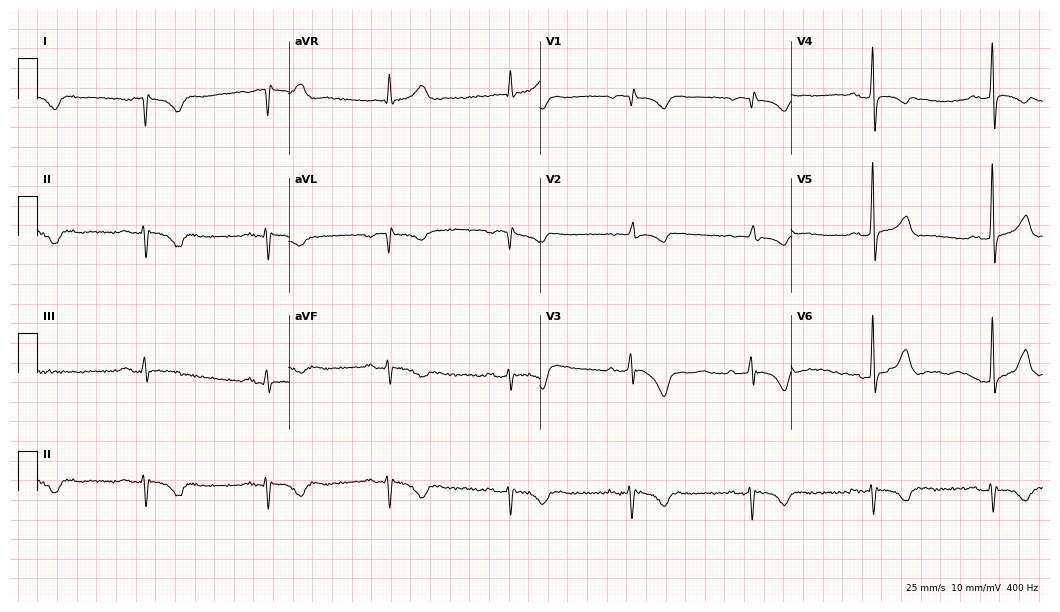
12-lead ECG from an 81-year-old male patient. Screened for six findings — first-degree AV block, right bundle branch block, left bundle branch block, sinus bradycardia, atrial fibrillation, sinus tachycardia — none is recorded.